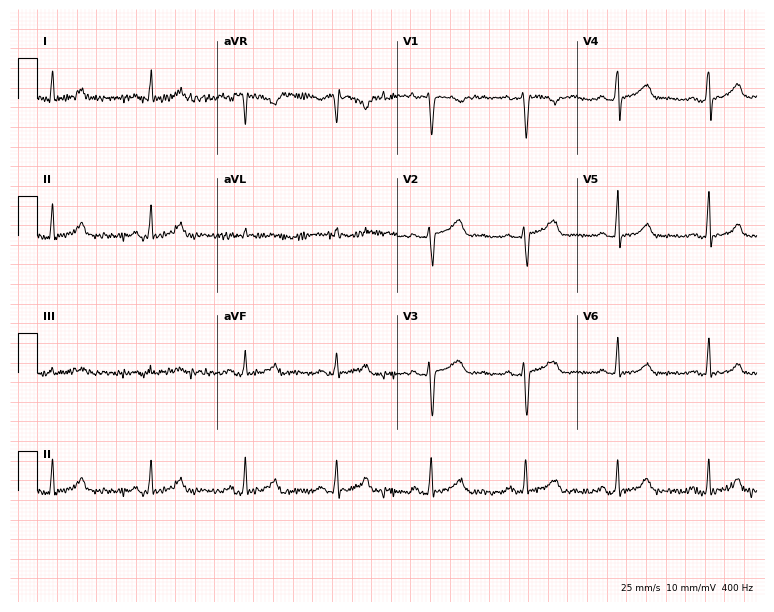
Resting 12-lead electrocardiogram. Patient: a 42-year-old female. None of these six findings is recorded: first-degree AV block, right bundle branch block, left bundle branch block, sinus bradycardia, atrial fibrillation, sinus tachycardia. Only these six findings were labelled.